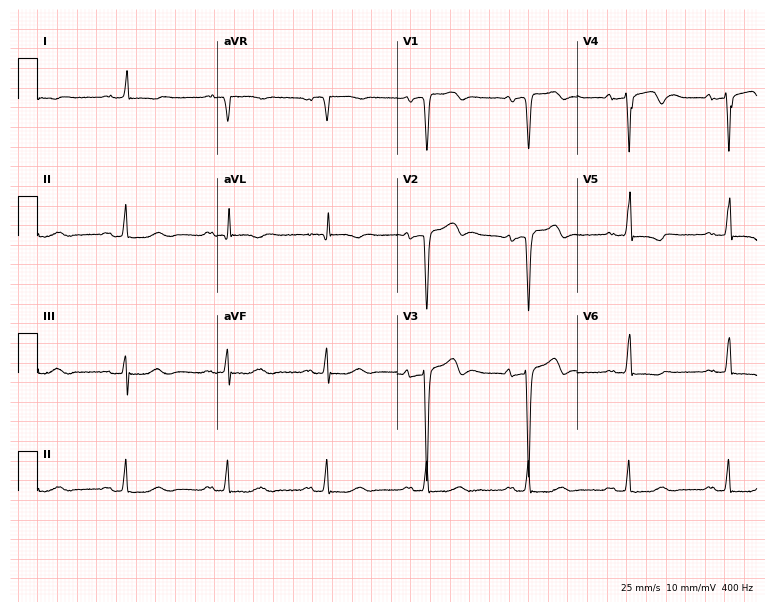
ECG — a man, 64 years old. Screened for six findings — first-degree AV block, right bundle branch block, left bundle branch block, sinus bradycardia, atrial fibrillation, sinus tachycardia — none is recorded. Only these six findings were labelled.